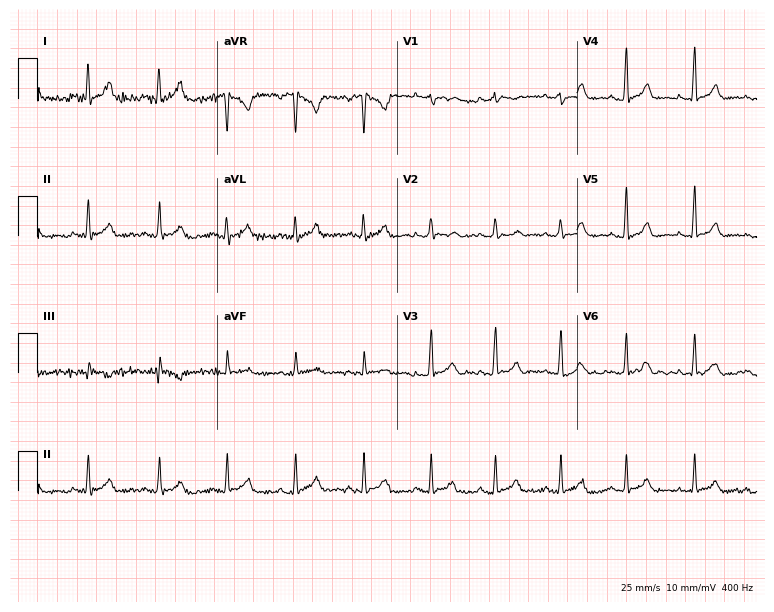
Electrocardiogram, a 33-year-old woman. Overall reading on record: normal ECG.